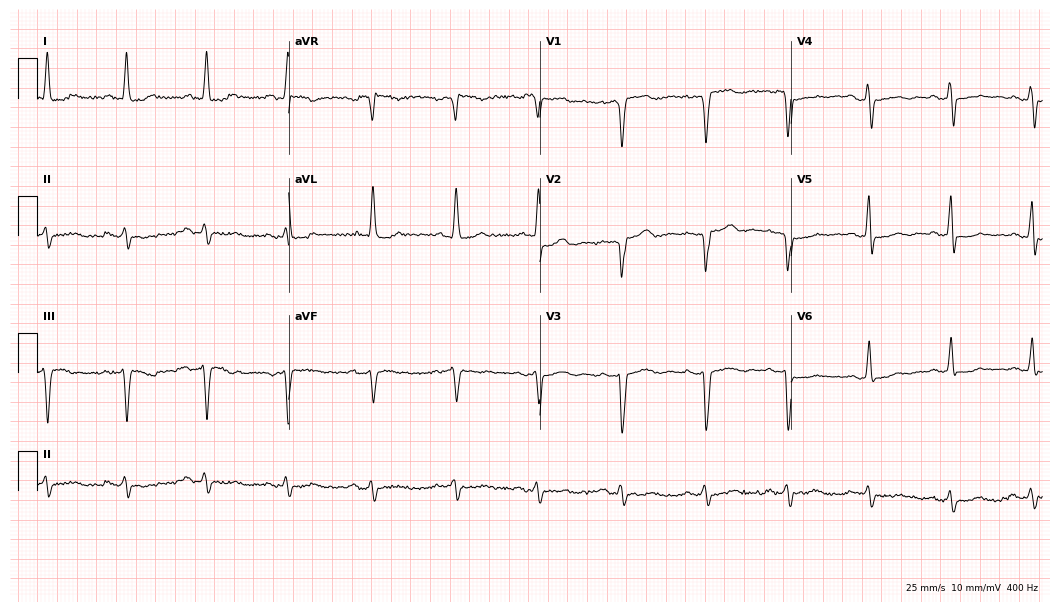
ECG — a 35-year-old man. Screened for six findings — first-degree AV block, right bundle branch block (RBBB), left bundle branch block (LBBB), sinus bradycardia, atrial fibrillation (AF), sinus tachycardia — none is recorded.